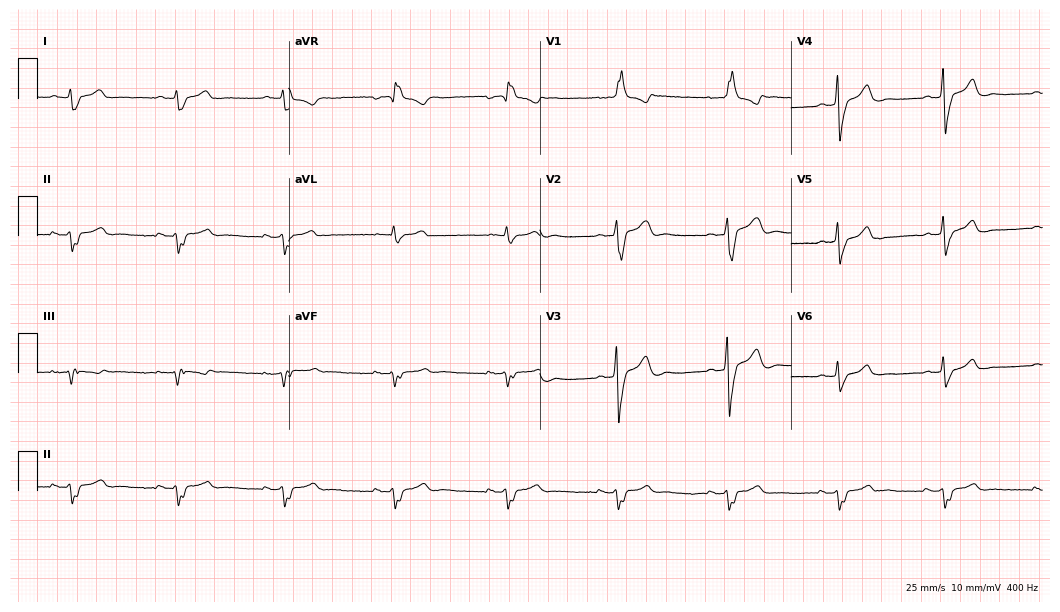
Standard 12-lead ECG recorded from a 44-year-old male. The tracing shows right bundle branch block (RBBB).